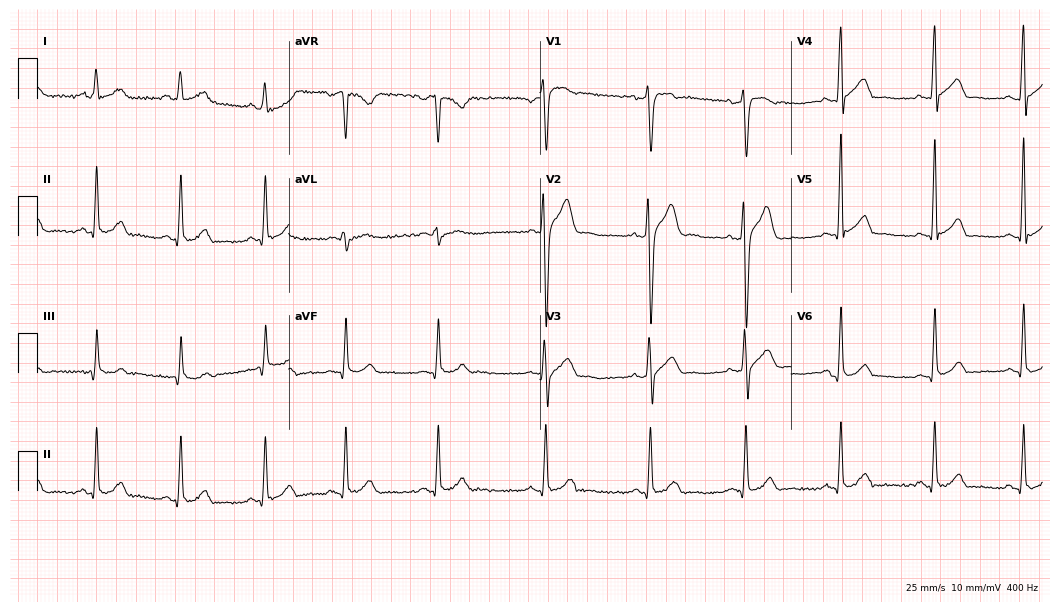
12-lead ECG from a 45-year-old man. Screened for six findings — first-degree AV block, right bundle branch block, left bundle branch block, sinus bradycardia, atrial fibrillation, sinus tachycardia — none is recorded.